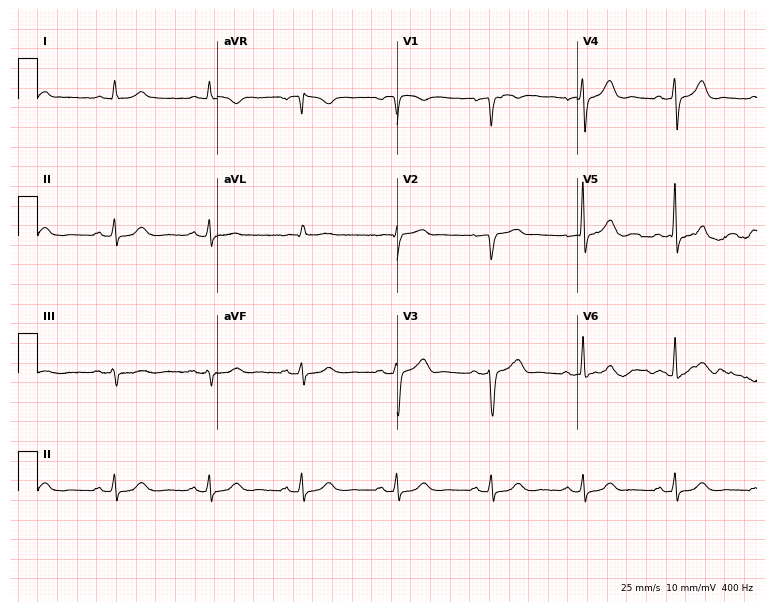
12-lead ECG from a 77-year-old male patient. Screened for six findings — first-degree AV block, right bundle branch block (RBBB), left bundle branch block (LBBB), sinus bradycardia, atrial fibrillation (AF), sinus tachycardia — none is recorded. Only these six findings were labelled.